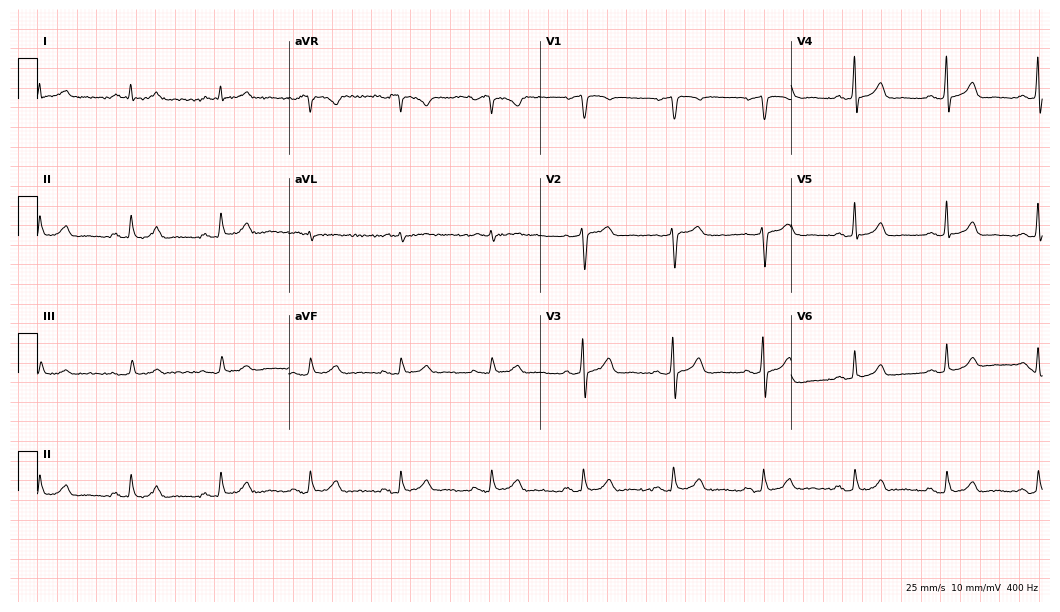
Resting 12-lead electrocardiogram. Patient: a man, 67 years old. Read as a normal ECG.